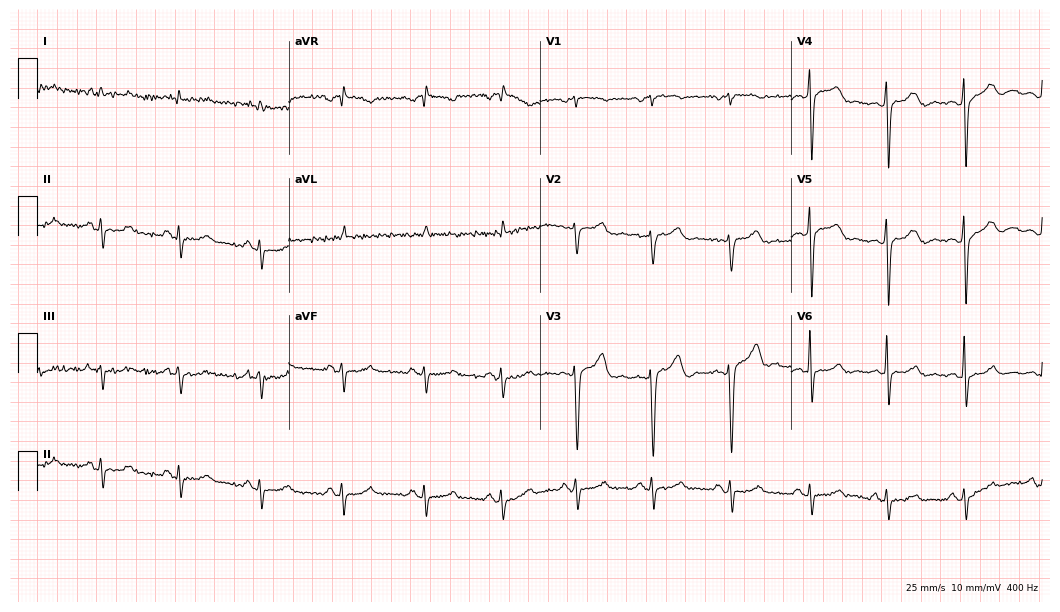
ECG — a 46-year-old male. Screened for six findings — first-degree AV block, right bundle branch block (RBBB), left bundle branch block (LBBB), sinus bradycardia, atrial fibrillation (AF), sinus tachycardia — none is recorded. Other findings, if any, are not listed.